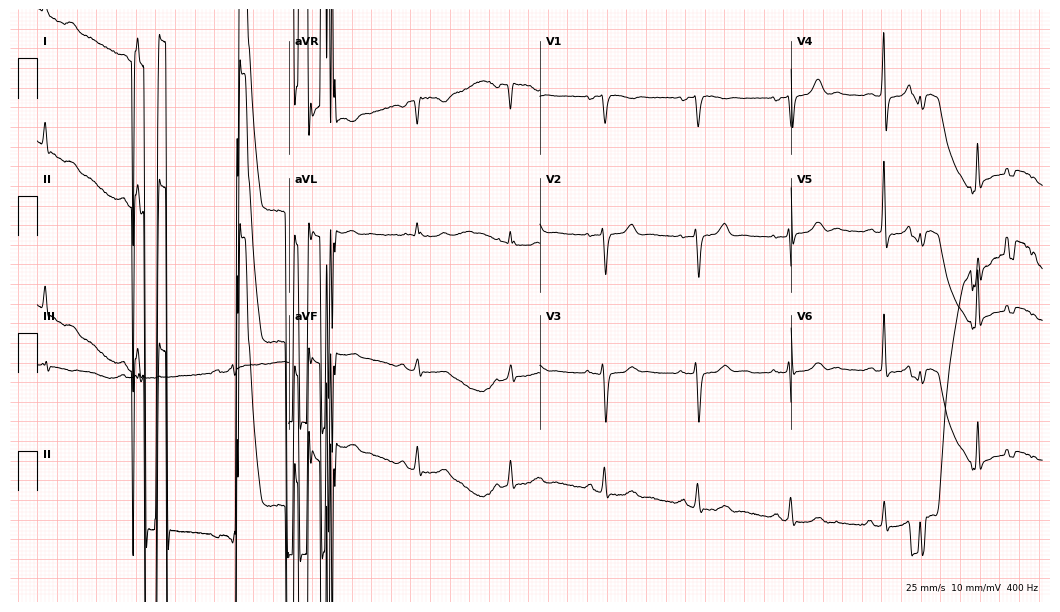
Resting 12-lead electrocardiogram. Patient: a male, 71 years old. None of these six findings is recorded: first-degree AV block, right bundle branch block (RBBB), left bundle branch block (LBBB), sinus bradycardia, atrial fibrillation (AF), sinus tachycardia. Findings outside these six are not listed.